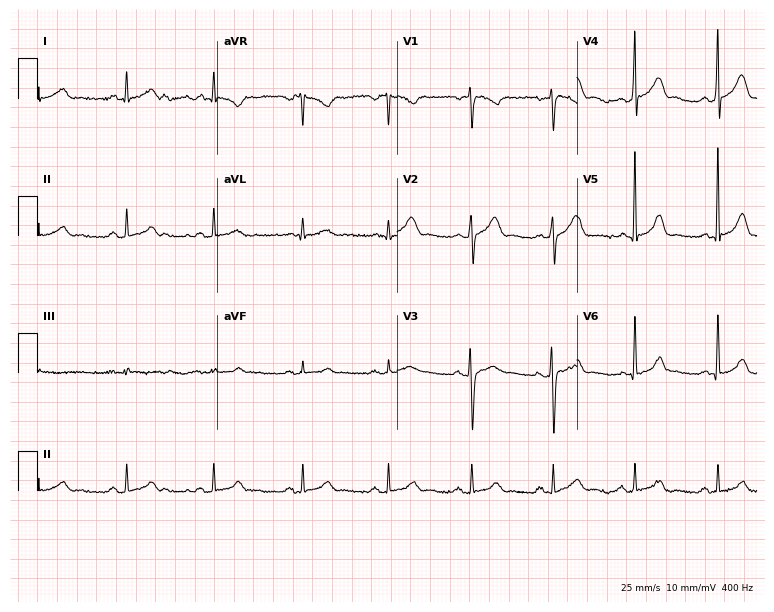
Electrocardiogram (7.3-second recording at 400 Hz), a man, 29 years old. Overall reading on record: normal ECG.